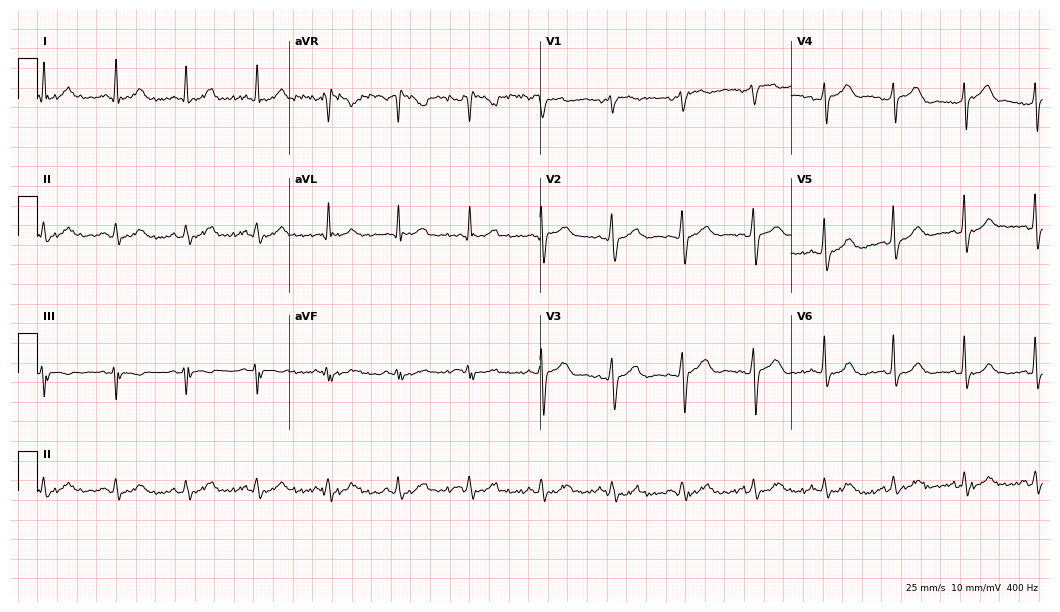
ECG — a male, 75 years old. Labelled as a normal ECG.